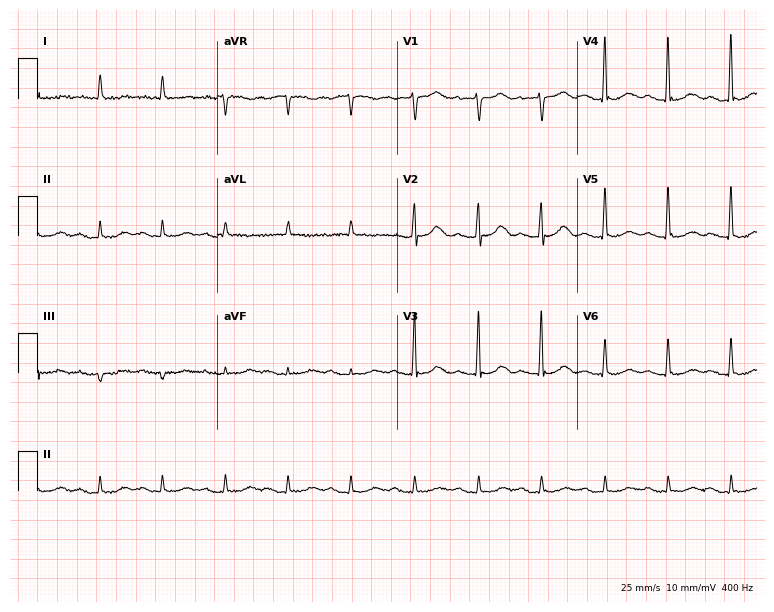
Electrocardiogram (7.3-second recording at 400 Hz), a female patient, 66 years old. Of the six screened findings (first-degree AV block, right bundle branch block, left bundle branch block, sinus bradycardia, atrial fibrillation, sinus tachycardia), none is recorded. Findings outside these six are not listed.